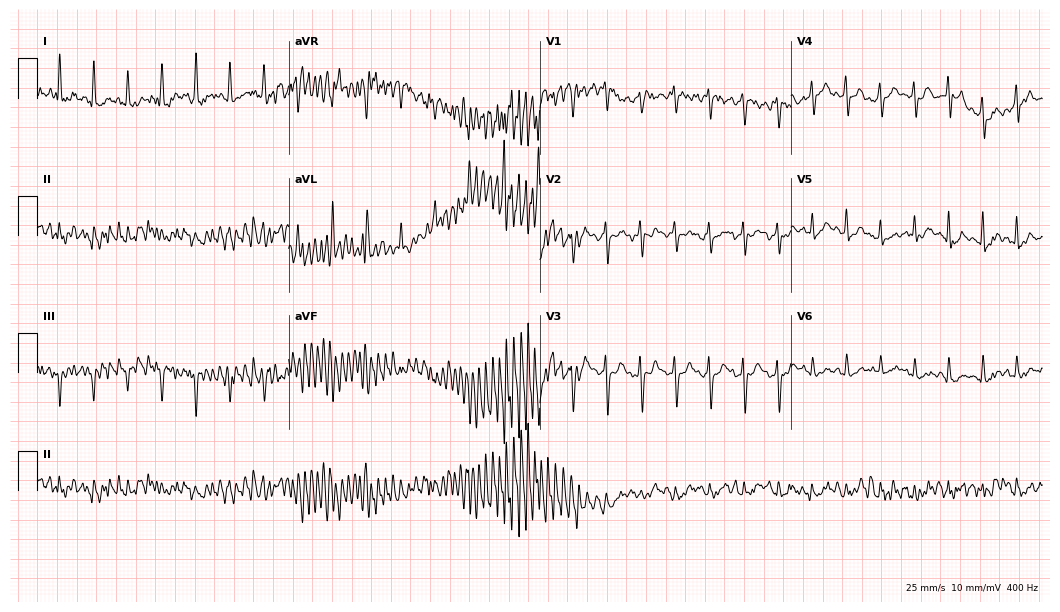
12-lead ECG (10.2-second recording at 400 Hz) from a 31-year-old female. Screened for six findings — first-degree AV block, right bundle branch block (RBBB), left bundle branch block (LBBB), sinus bradycardia, atrial fibrillation (AF), sinus tachycardia — none is recorded.